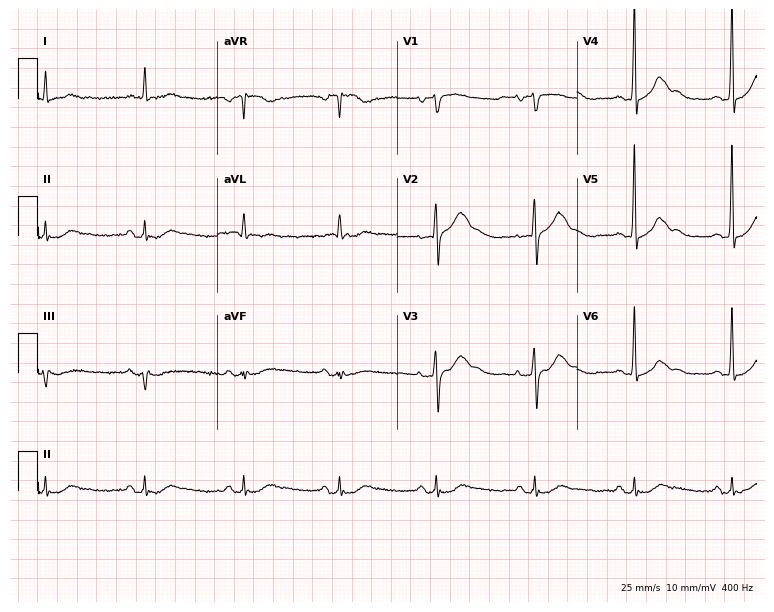
Standard 12-lead ECG recorded from a male patient, 76 years old (7.3-second recording at 400 Hz). None of these six findings is recorded: first-degree AV block, right bundle branch block, left bundle branch block, sinus bradycardia, atrial fibrillation, sinus tachycardia. Only these six findings were labelled.